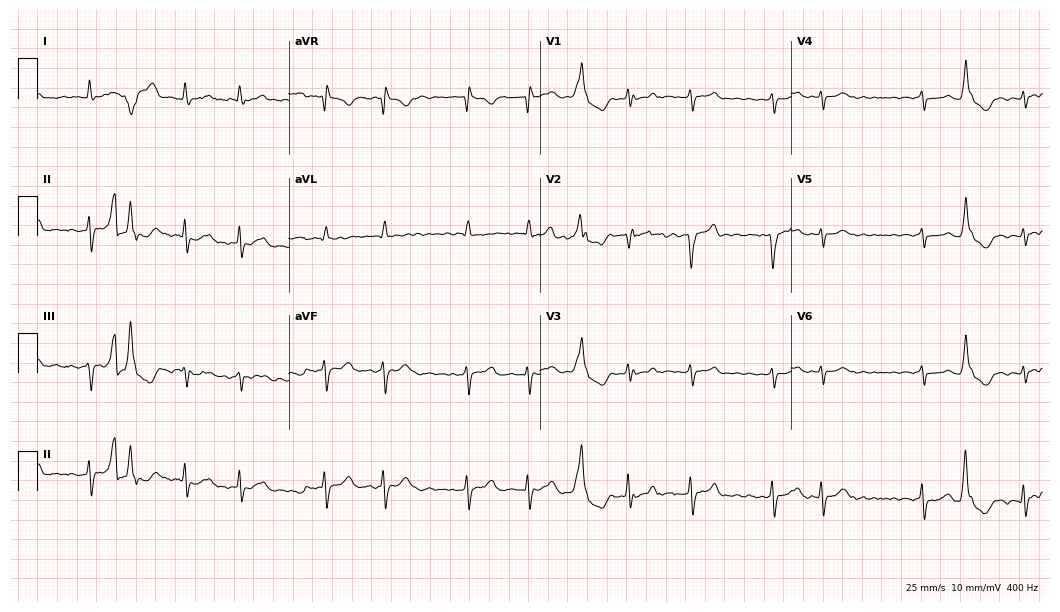
12-lead ECG from a male, 60 years old. Shows atrial fibrillation (AF).